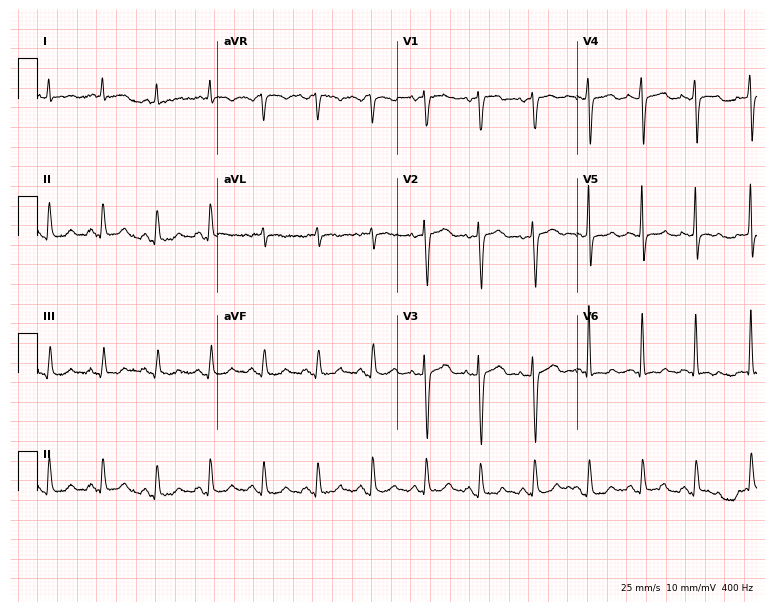
12-lead ECG from a 59-year-old female patient. Findings include sinus tachycardia (a sinus rate of 100 beats per minute or more).